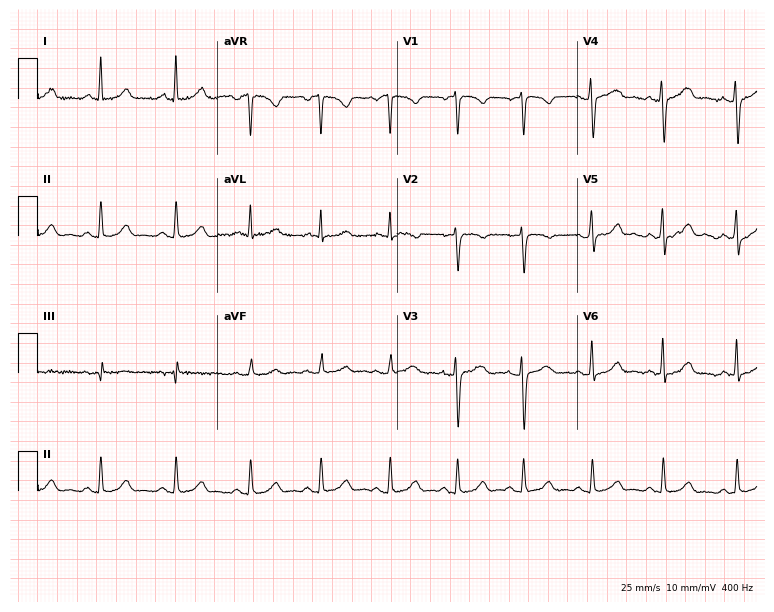
ECG — a female patient, 37 years old. Labelled as a normal ECG.